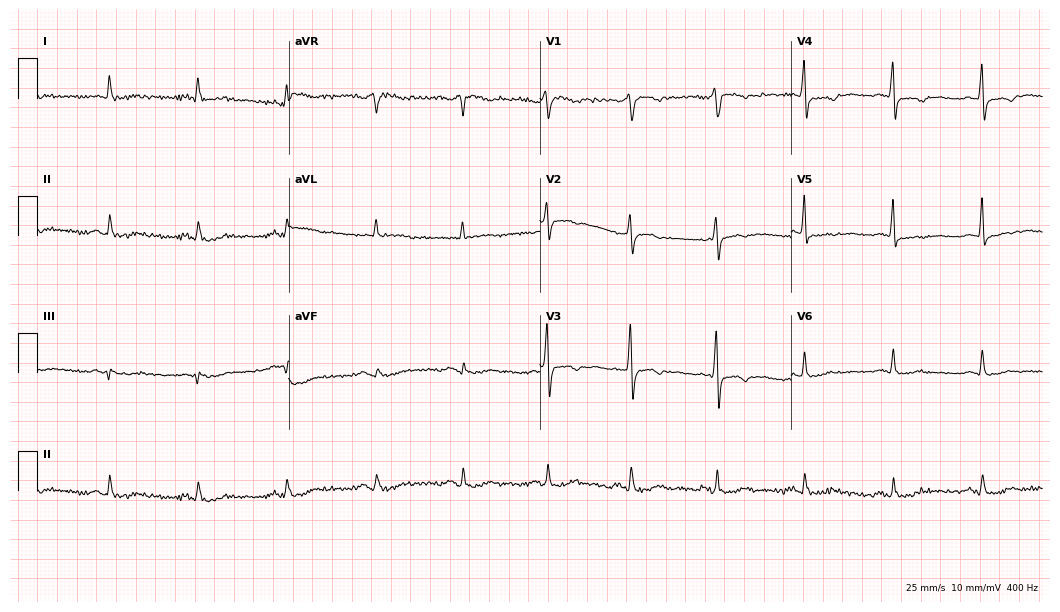
12-lead ECG from a woman, 64 years old. No first-degree AV block, right bundle branch block, left bundle branch block, sinus bradycardia, atrial fibrillation or sinus tachycardia recorded for this tracing. Other findings, if any, are not listed.